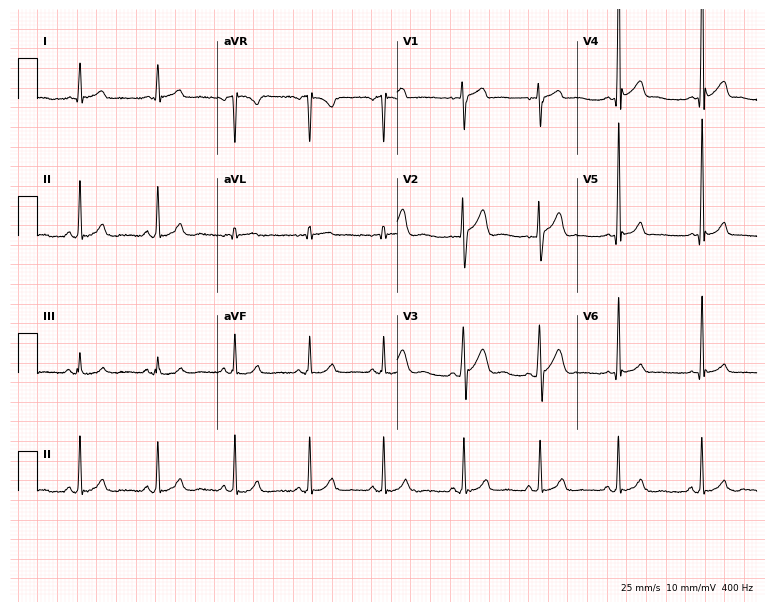
Resting 12-lead electrocardiogram. Patient: a male, 38 years old. None of these six findings is recorded: first-degree AV block, right bundle branch block, left bundle branch block, sinus bradycardia, atrial fibrillation, sinus tachycardia.